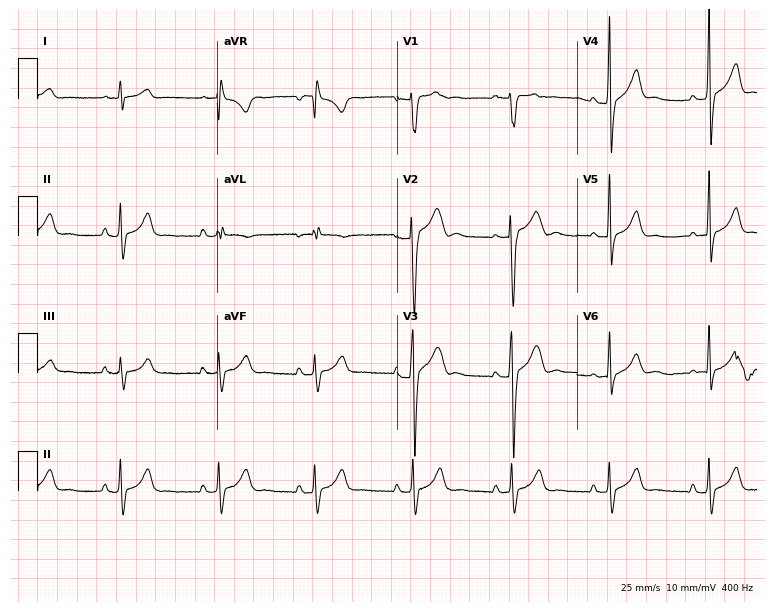
Standard 12-lead ECG recorded from a 17-year-old man. Read as a normal ECG.